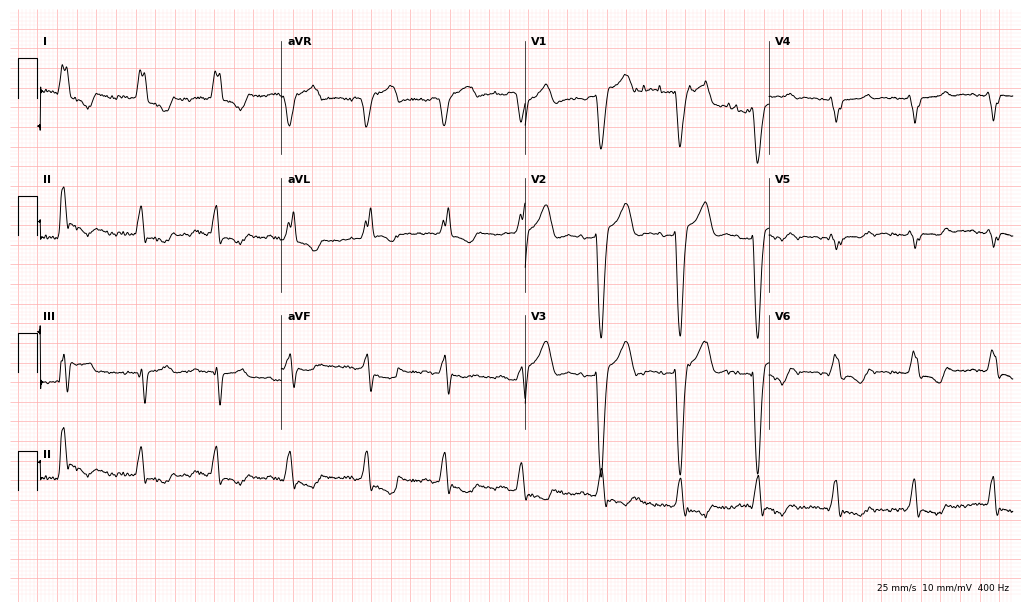
Electrocardiogram, a woman, 85 years old. Interpretation includes left bundle branch block.